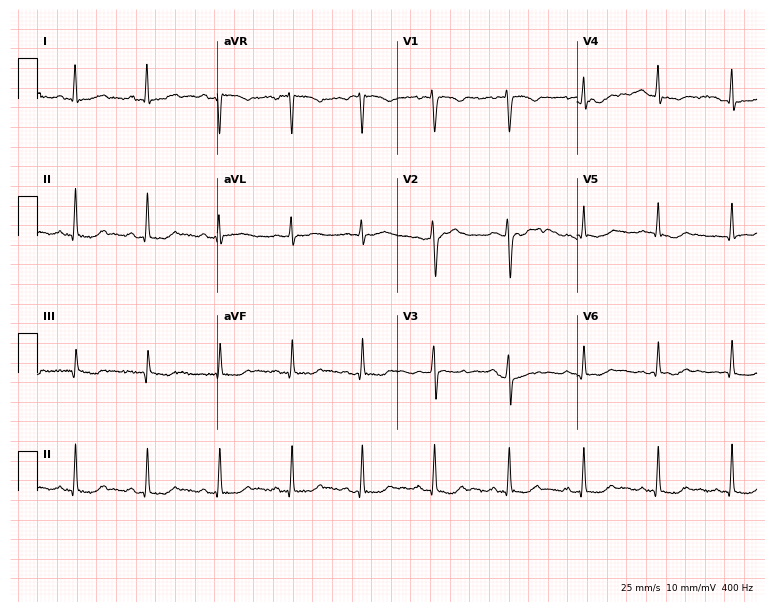
Standard 12-lead ECG recorded from a woman, 33 years old (7.3-second recording at 400 Hz). None of these six findings is recorded: first-degree AV block, right bundle branch block, left bundle branch block, sinus bradycardia, atrial fibrillation, sinus tachycardia. Findings outside these six are not listed.